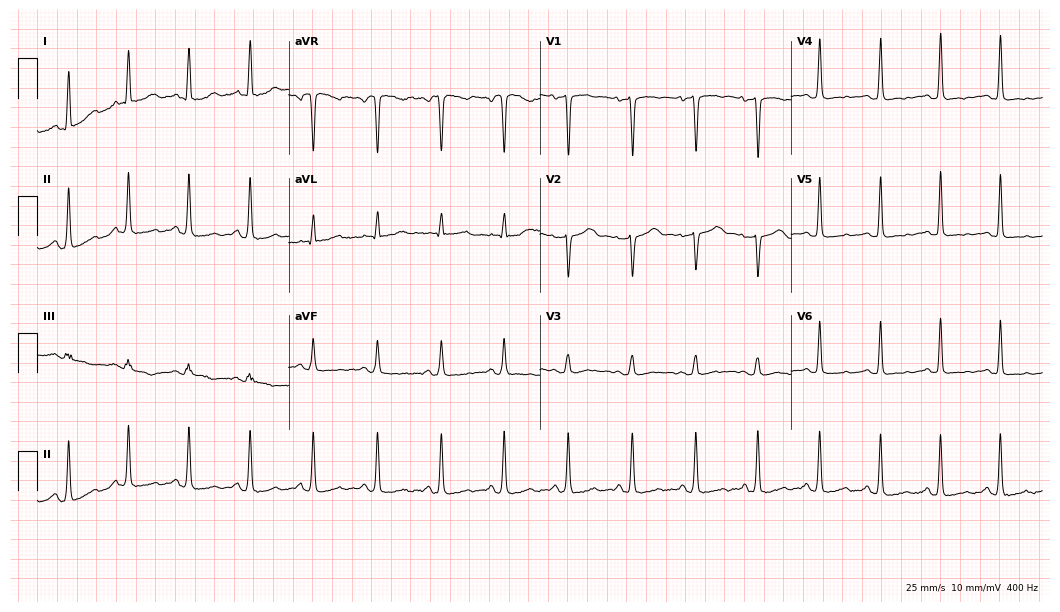
12-lead ECG (10.2-second recording at 400 Hz) from a female, 28 years old. Screened for six findings — first-degree AV block, right bundle branch block, left bundle branch block, sinus bradycardia, atrial fibrillation, sinus tachycardia — none is recorded.